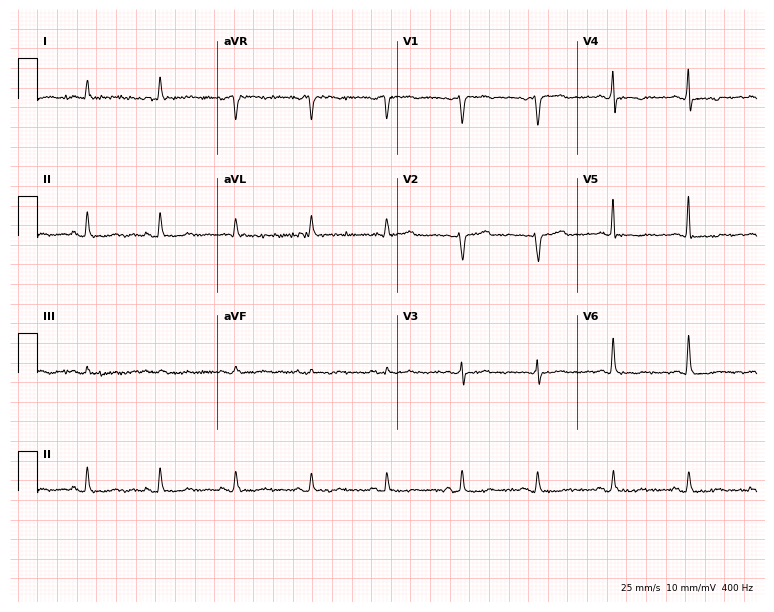
ECG (7.3-second recording at 400 Hz) — a female, 77 years old. Screened for six findings — first-degree AV block, right bundle branch block, left bundle branch block, sinus bradycardia, atrial fibrillation, sinus tachycardia — none is recorded.